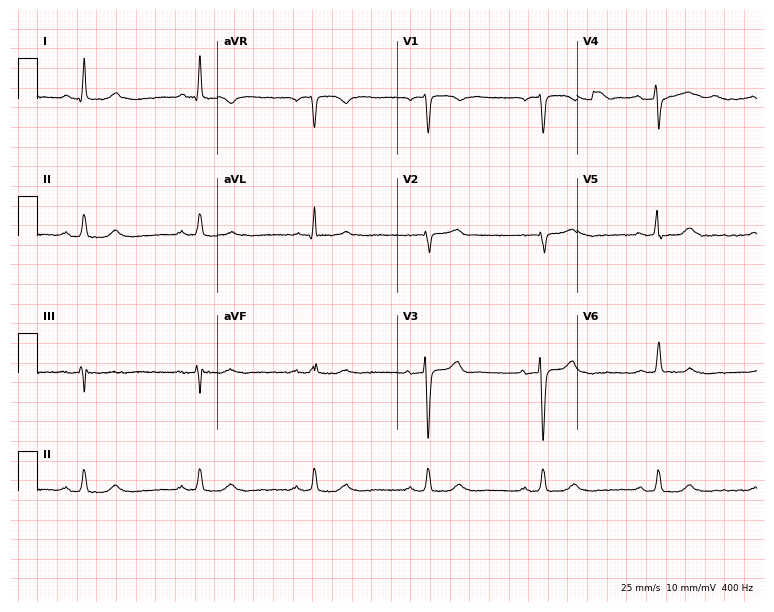
ECG — a 67-year-old male. Screened for six findings — first-degree AV block, right bundle branch block, left bundle branch block, sinus bradycardia, atrial fibrillation, sinus tachycardia — none is recorded.